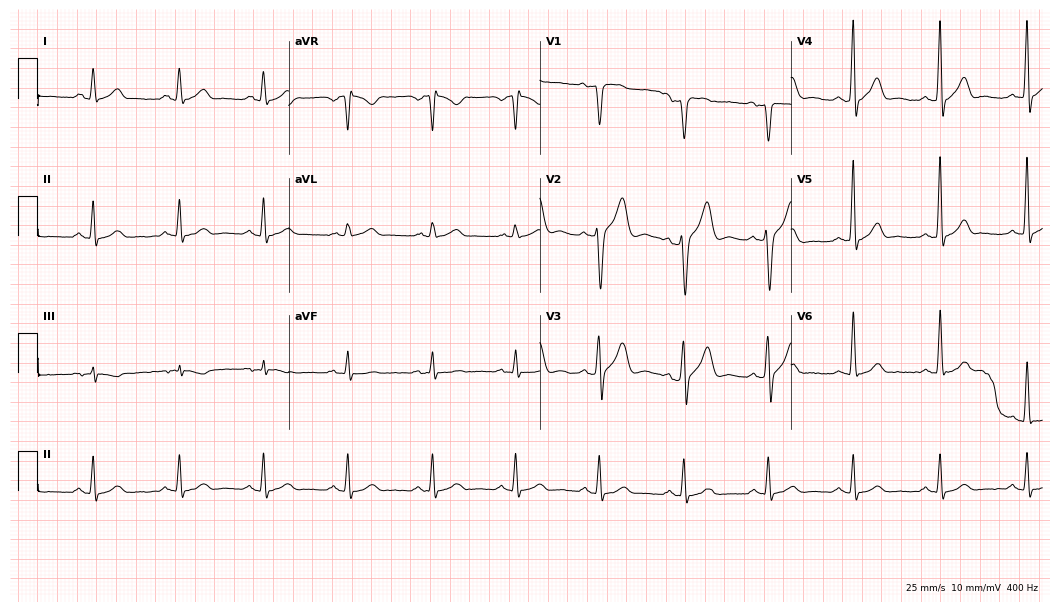
Electrocardiogram (10.2-second recording at 400 Hz), a man, 50 years old. Overall reading on record: normal ECG.